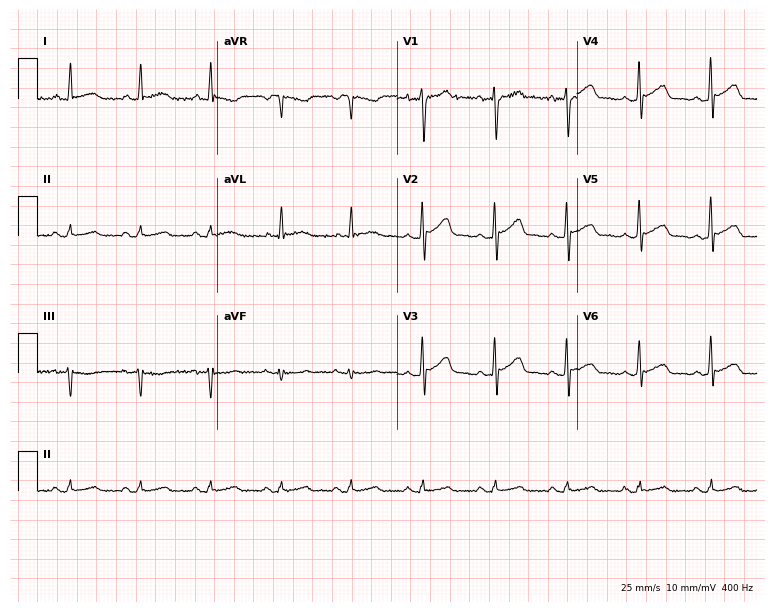
ECG — a man, 54 years old. Screened for six findings — first-degree AV block, right bundle branch block, left bundle branch block, sinus bradycardia, atrial fibrillation, sinus tachycardia — none is recorded.